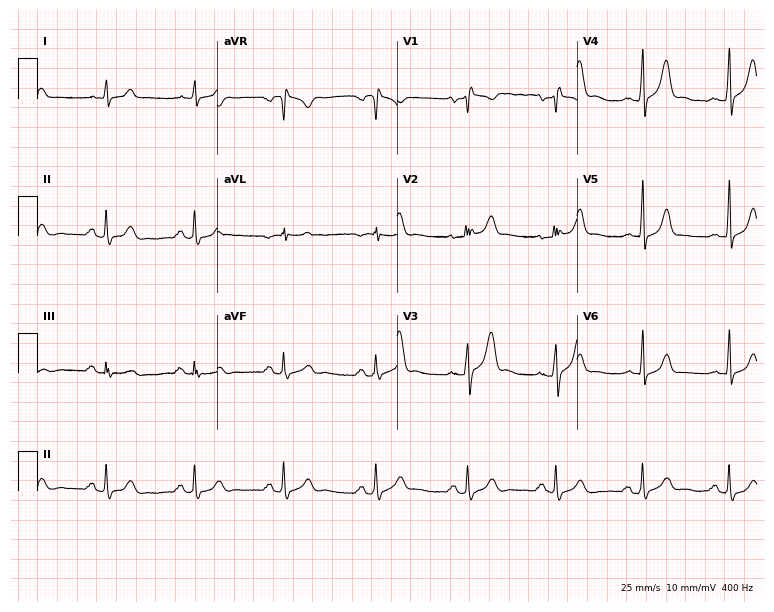
ECG (7.3-second recording at 400 Hz) — a 33-year-old male. Screened for six findings — first-degree AV block, right bundle branch block, left bundle branch block, sinus bradycardia, atrial fibrillation, sinus tachycardia — none is recorded.